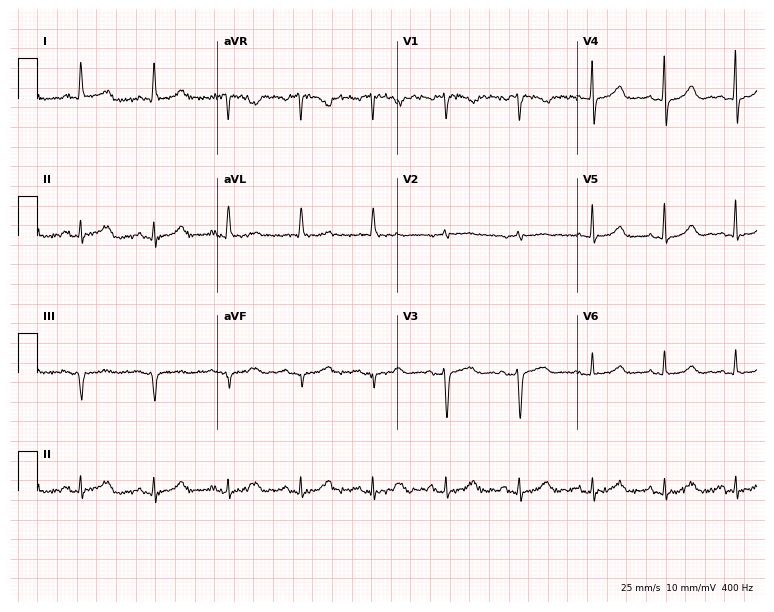
Electrocardiogram (7.3-second recording at 400 Hz), a female patient, 65 years old. Of the six screened findings (first-degree AV block, right bundle branch block (RBBB), left bundle branch block (LBBB), sinus bradycardia, atrial fibrillation (AF), sinus tachycardia), none is recorded.